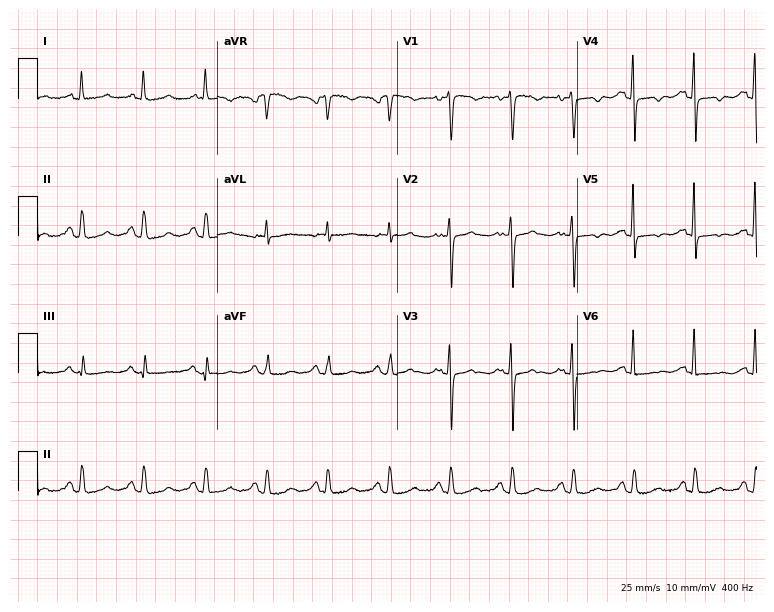
Standard 12-lead ECG recorded from a female, 70 years old (7.3-second recording at 400 Hz). None of these six findings is recorded: first-degree AV block, right bundle branch block, left bundle branch block, sinus bradycardia, atrial fibrillation, sinus tachycardia. Other findings, if any, are not listed.